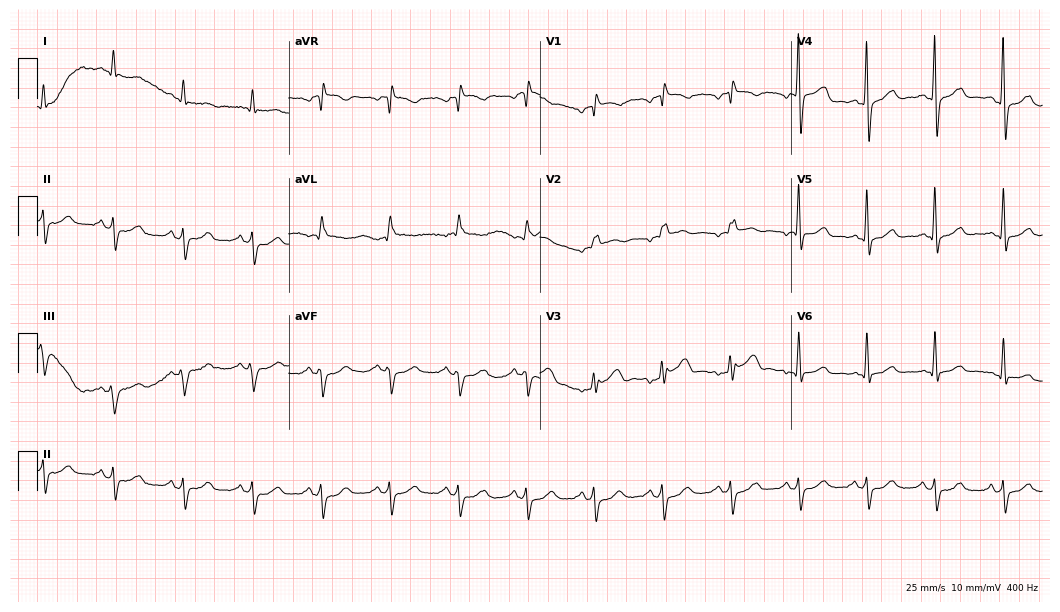
Standard 12-lead ECG recorded from a male, 62 years old. None of these six findings is recorded: first-degree AV block, right bundle branch block, left bundle branch block, sinus bradycardia, atrial fibrillation, sinus tachycardia. Other findings, if any, are not listed.